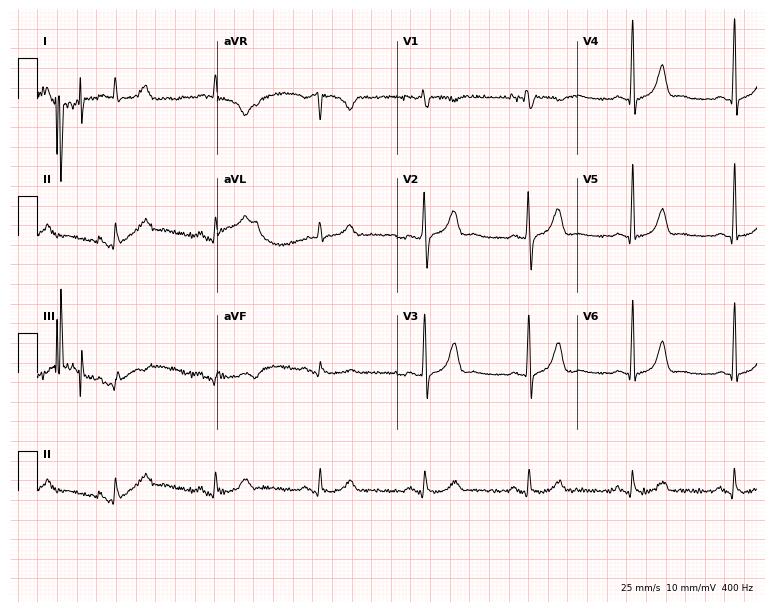
12-lead ECG from a 47-year-old male. No first-degree AV block, right bundle branch block (RBBB), left bundle branch block (LBBB), sinus bradycardia, atrial fibrillation (AF) or sinus tachycardia recorded for this tracing.